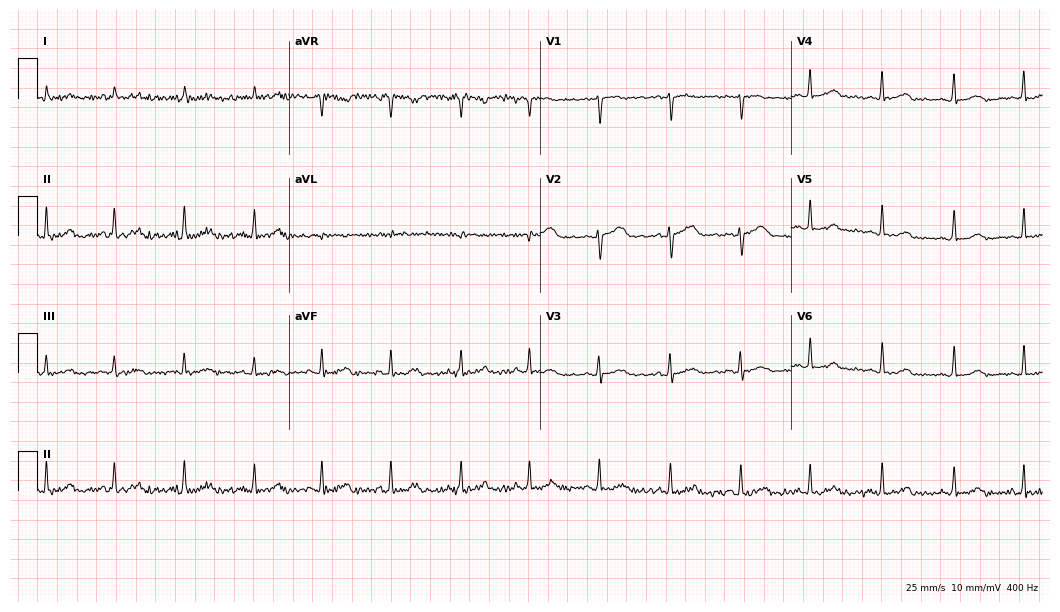
Electrocardiogram (10.2-second recording at 400 Hz), a female patient, 30 years old. Of the six screened findings (first-degree AV block, right bundle branch block, left bundle branch block, sinus bradycardia, atrial fibrillation, sinus tachycardia), none is recorded. Only these six findings were labelled.